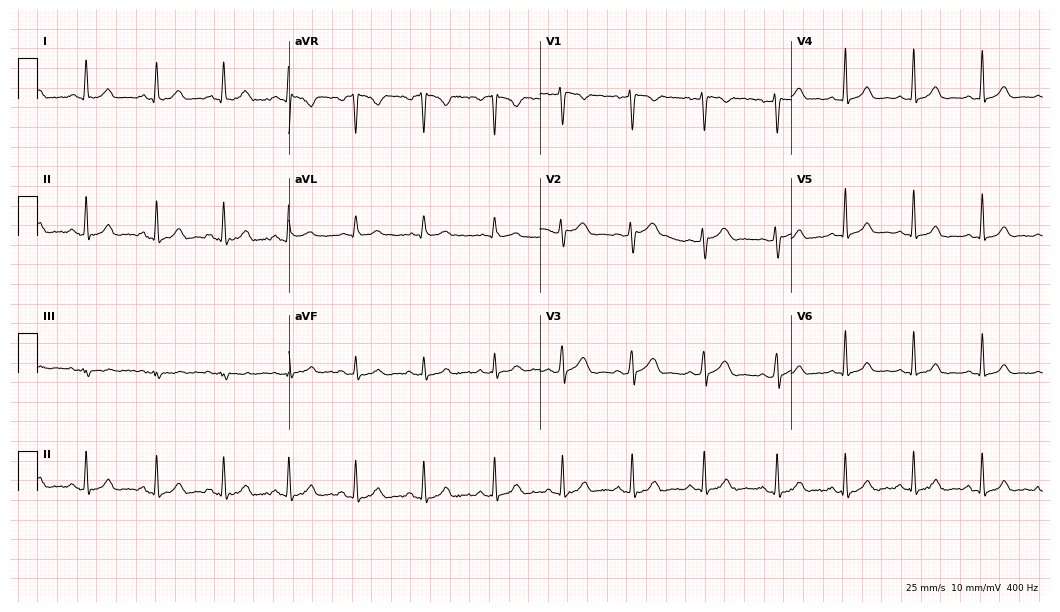
12-lead ECG (10.2-second recording at 400 Hz) from a female patient, 30 years old. Labelled as a normal ECG.